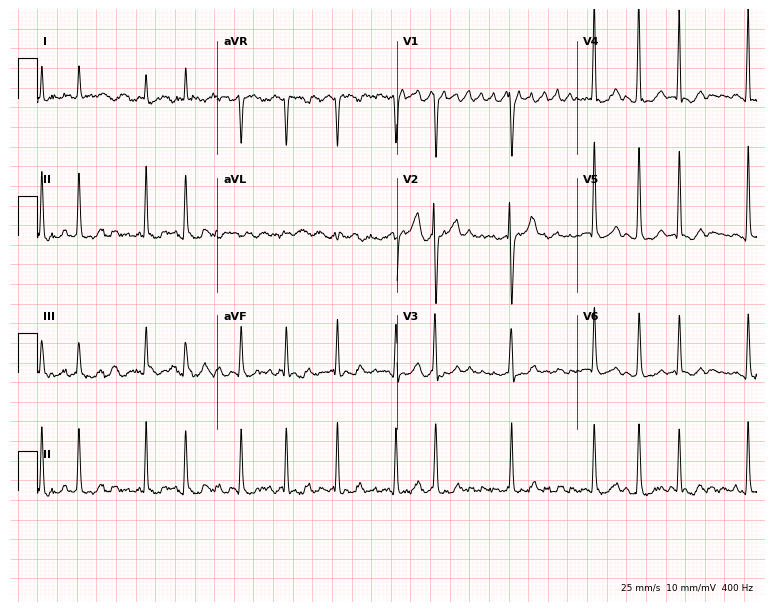
Electrocardiogram, a female, 85 years old. Interpretation includes atrial fibrillation (AF).